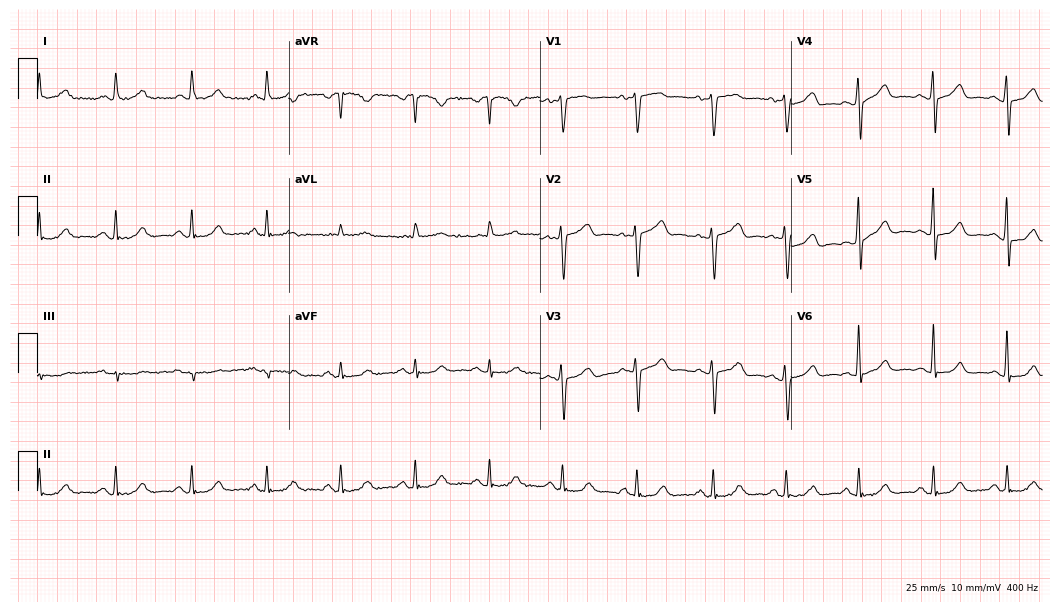
12-lead ECG from a 71-year-old male patient. Labelled as a normal ECG.